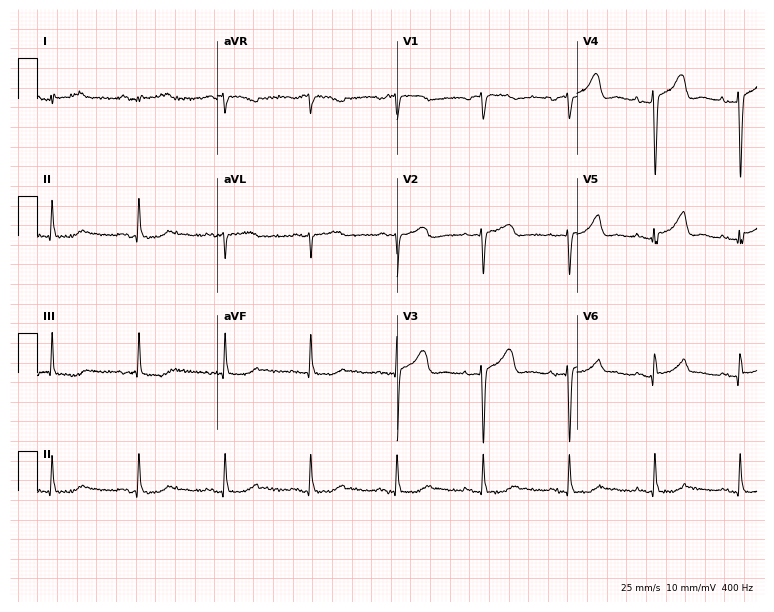
Electrocardiogram, a 60-year-old female. Of the six screened findings (first-degree AV block, right bundle branch block, left bundle branch block, sinus bradycardia, atrial fibrillation, sinus tachycardia), none is recorded. Only these six findings were labelled.